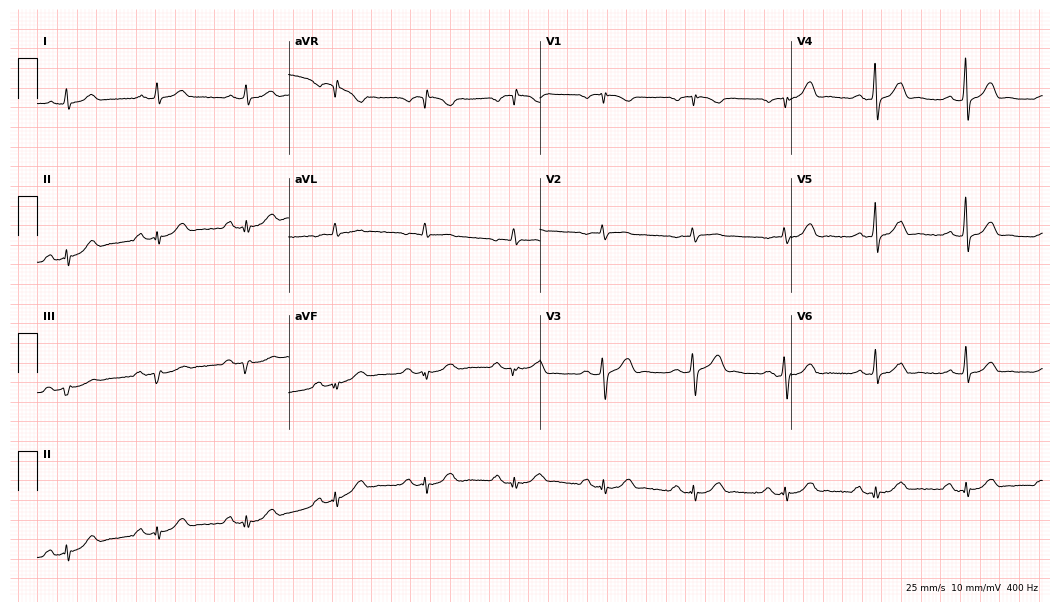
Standard 12-lead ECG recorded from a 76-year-old man (10.2-second recording at 400 Hz). Read as a normal ECG.